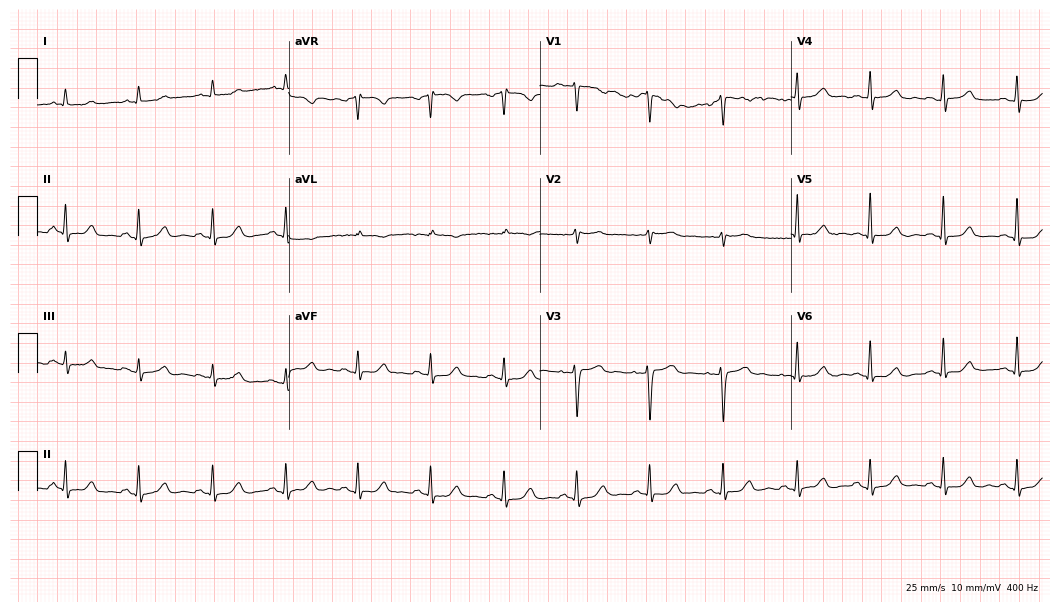
12-lead ECG from a 52-year-old female. Recorded interpretation: within normal limits.